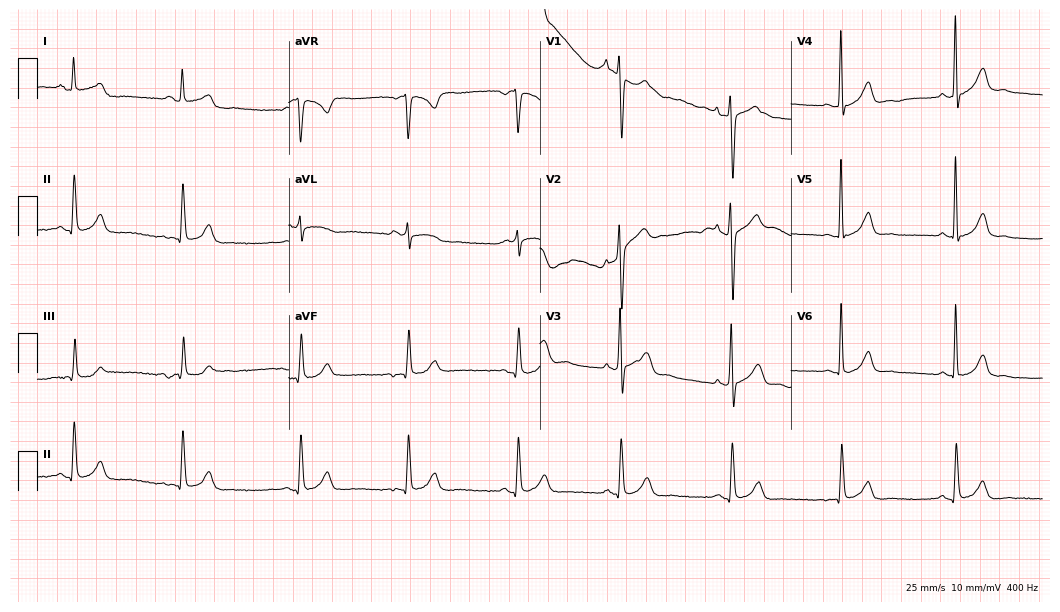
Electrocardiogram, a man, 40 years old. Overall reading on record: normal ECG.